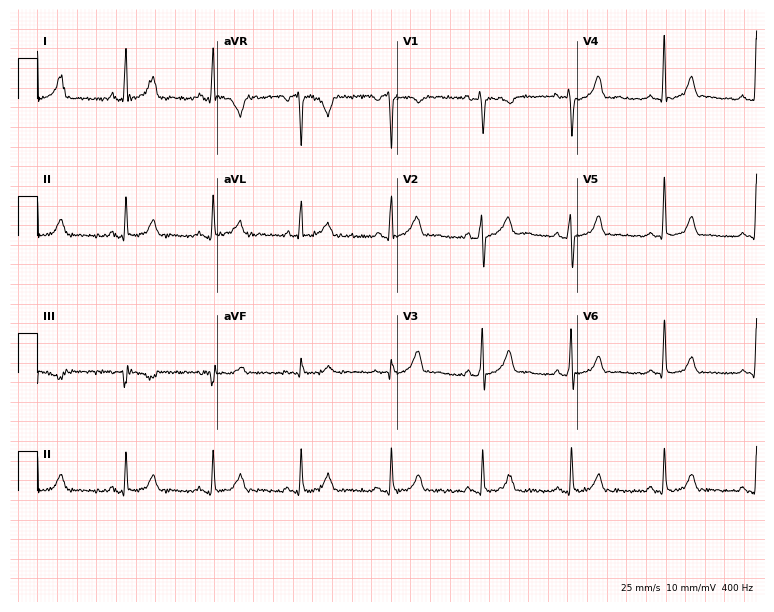
12-lead ECG (7.3-second recording at 400 Hz) from a 38-year-old woman. Screened for six findings — first-degree AV block, right bundle branch block (RBBB), left bundle branch block (LBBB), sinus bradycardia, atrial fibrillation (AF), sinus tachycardia — none is recorded. Other findings, if any, are not listed.